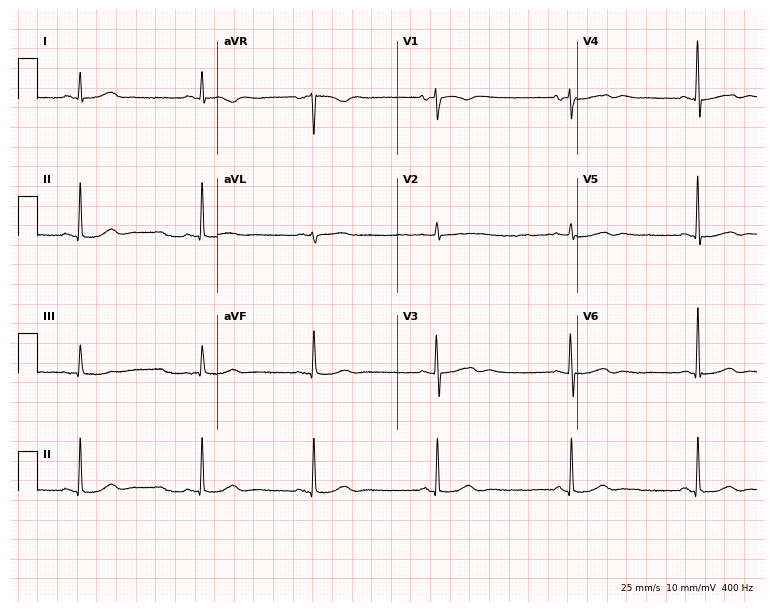
Standard 12-lead ECG recorded from a woman, 68 years old (7.3-second recording at 400 Hz). The tracing shows sinus bradycardia (a sinus rate of 50 beats per minute or less).